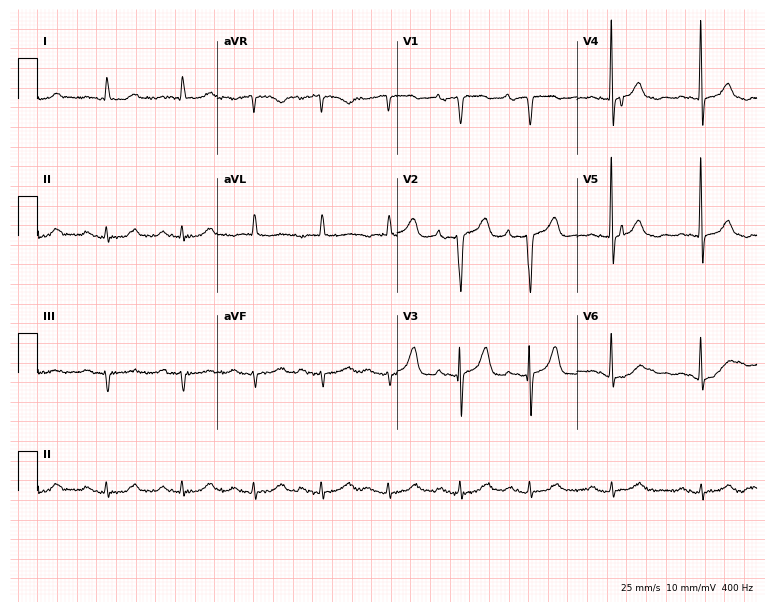
12-lead ECG from a 78-year-old female patient. Labelled as a normal ECG.